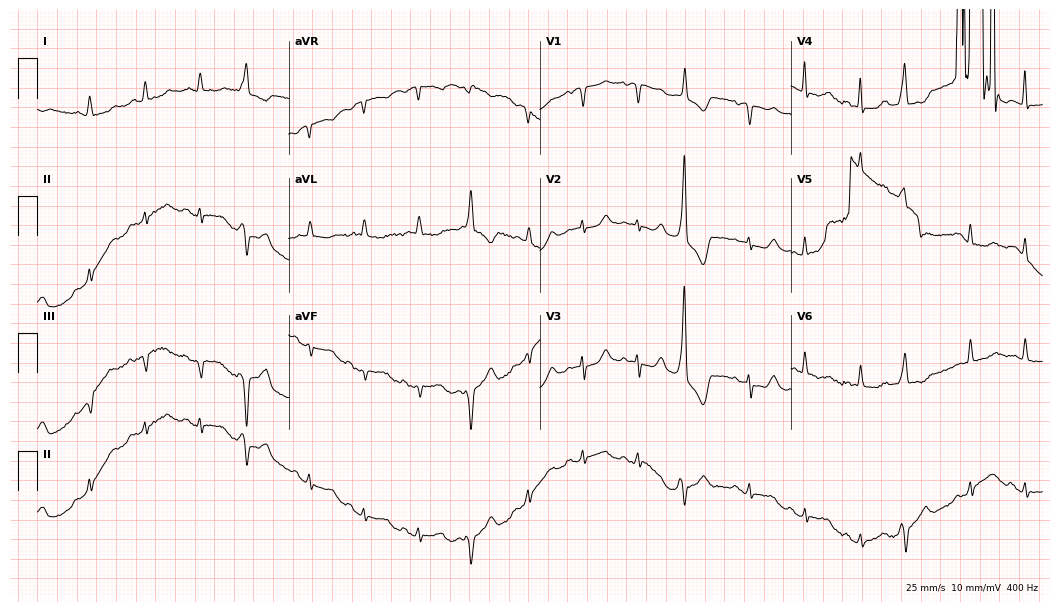
Electrocardiogram, an 80-year-old female. Of the six screened findings (first-degree AV block, right bundle branch block, left bundle branch block, sinus bradycardia, atrial fibrillation, sinus tachycardia), none is recorded. Other findings, if any, are not listed.